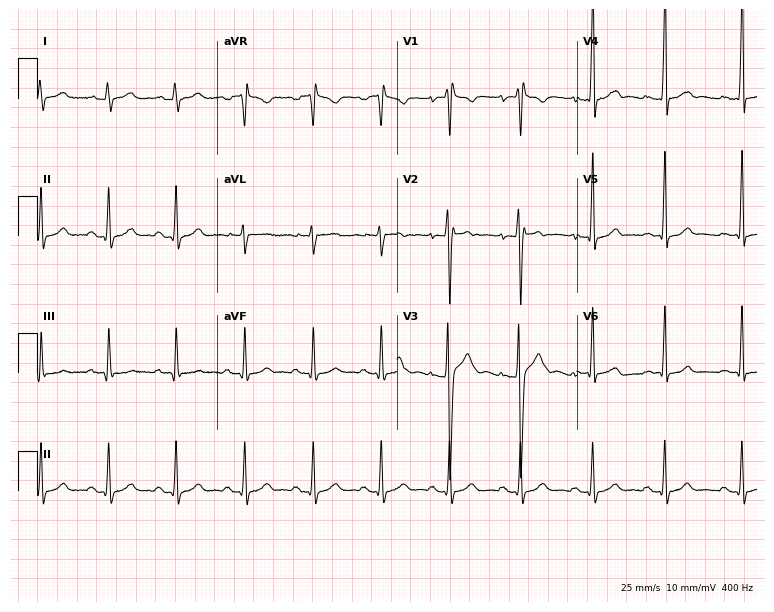
Resting 12-lead electrocardiogram (7.3-second recording at 400 Hz). Patient: a 17-year-old male. None of these six findings is recorded: first-degree AV block, right bundle branch block (RBBB), left bundle branch block (LBBB), sinus bradycardia, atrial fibrillation (AF), sinus tachycardia.